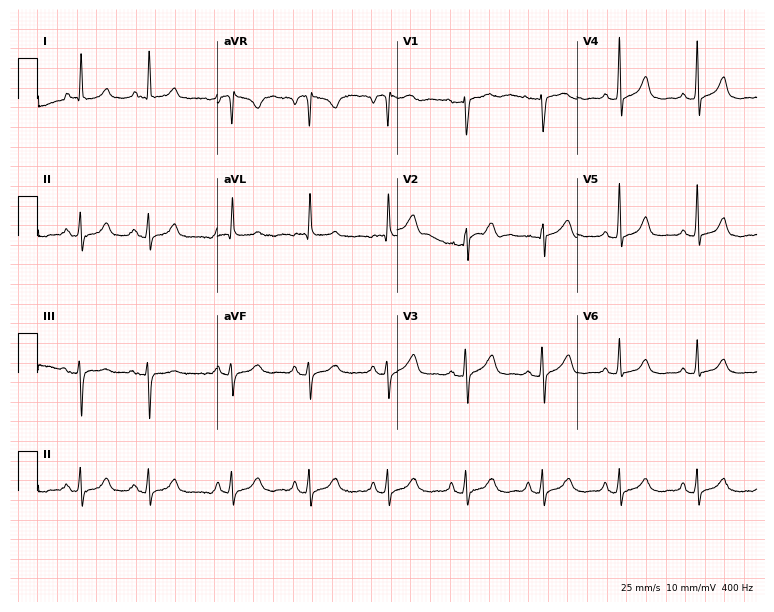
Resting 12-lead electrocardiogram (7.3-second recording at 400 Hz). Patient: a woman, 68 years old. None of these six findings is recorded: first-degree AV block, right bundle branch block (RBBB), left bundle branch block (LBBB), sinus bradycardia, atrial fibrillation (AF), sinus tachycardia.